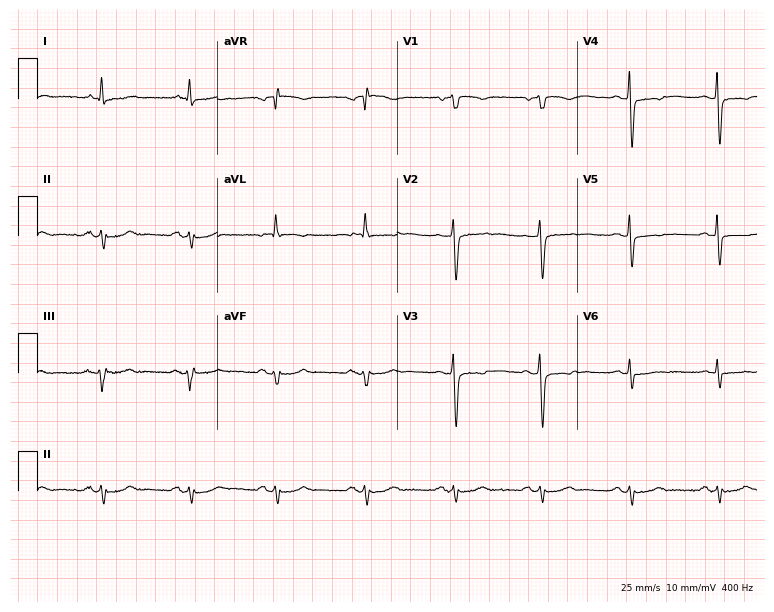
ECG — a 64-year-old man. Screened for six findings — first-degree AV block, right bundle branch block, left bundle branch block, sinus bradycardia, atrial fibrillation, sinus tachycardia — none is recorded. Findings outside these six are not listed.